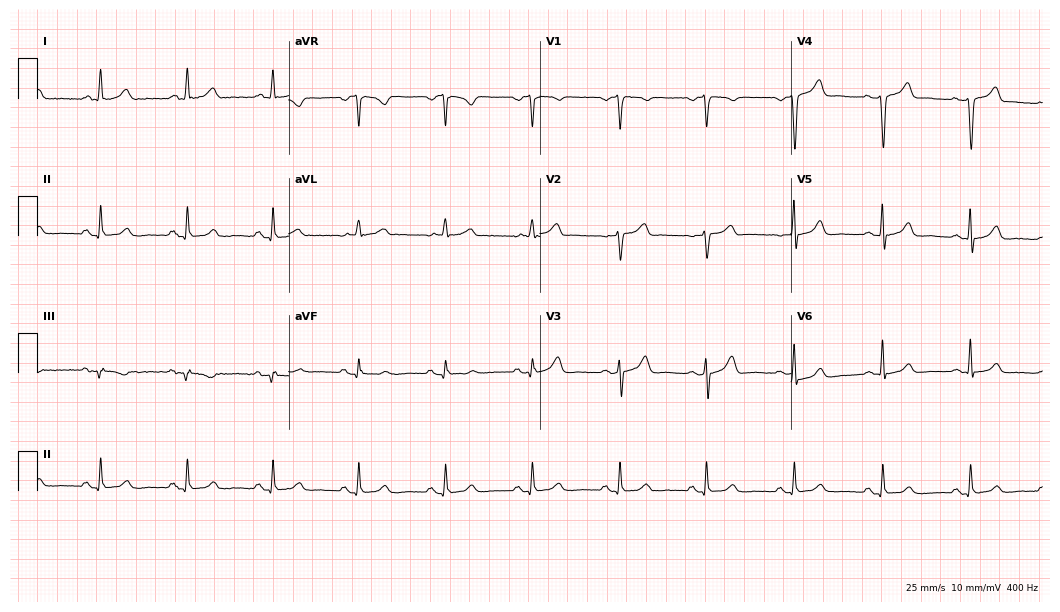
12-lead ECG (10.2-second recording at 400 Hz) from a male patient, 61 years old. Labelled as a normal ECG.